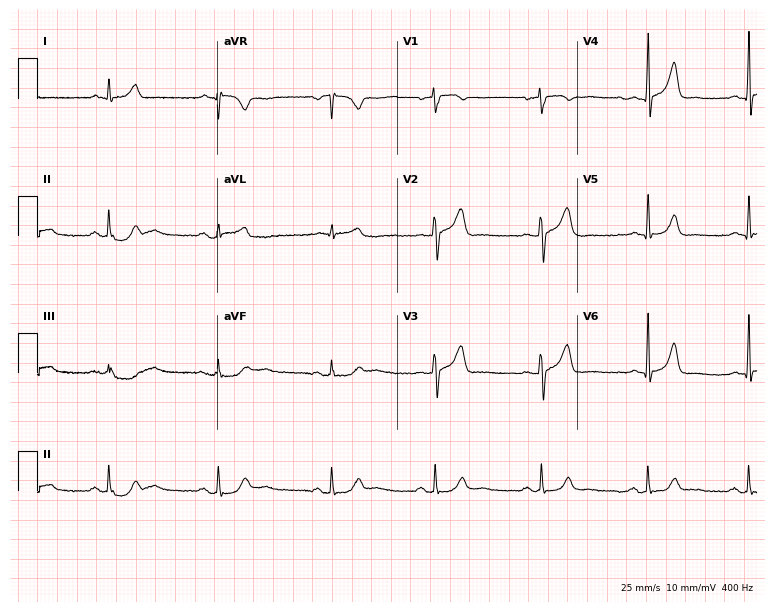
ECG — a male patient, 56 years old. Labelled as a normal ECG.